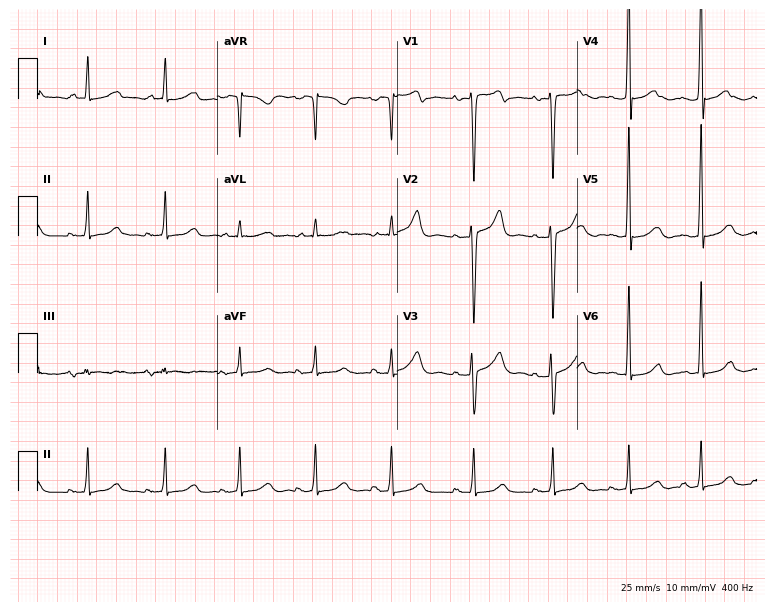
12-lead ECG (7.3-second recording at 400 Hz) from a female, 29 years old. Labelled as a normal ECG.